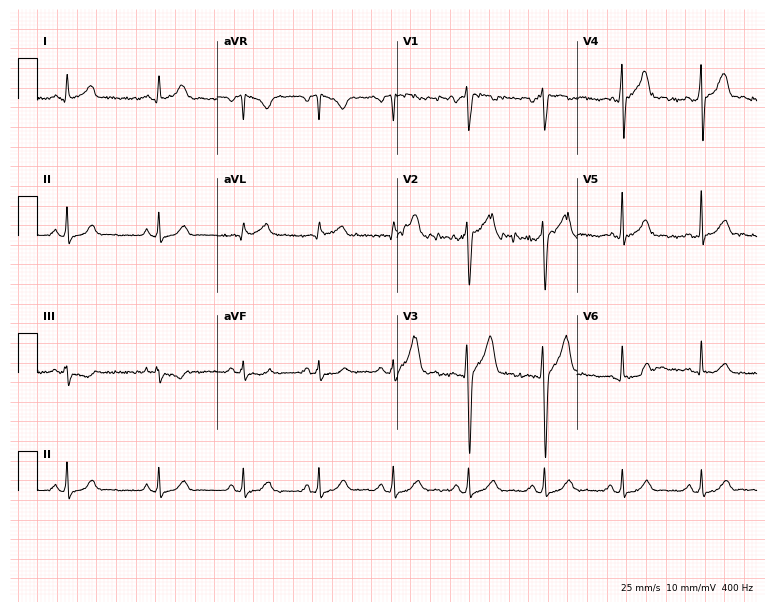
12-lead ECG from a male patient, 41 years old. Screened for six findings — first-degree AV block, right bundle branch block (RBBB), left bundle branch block (LBBB), sinus bradycardia, atrial fibrillation (AF), sinus tachycardia — none is recorded. Other findings, if any, are not listed.